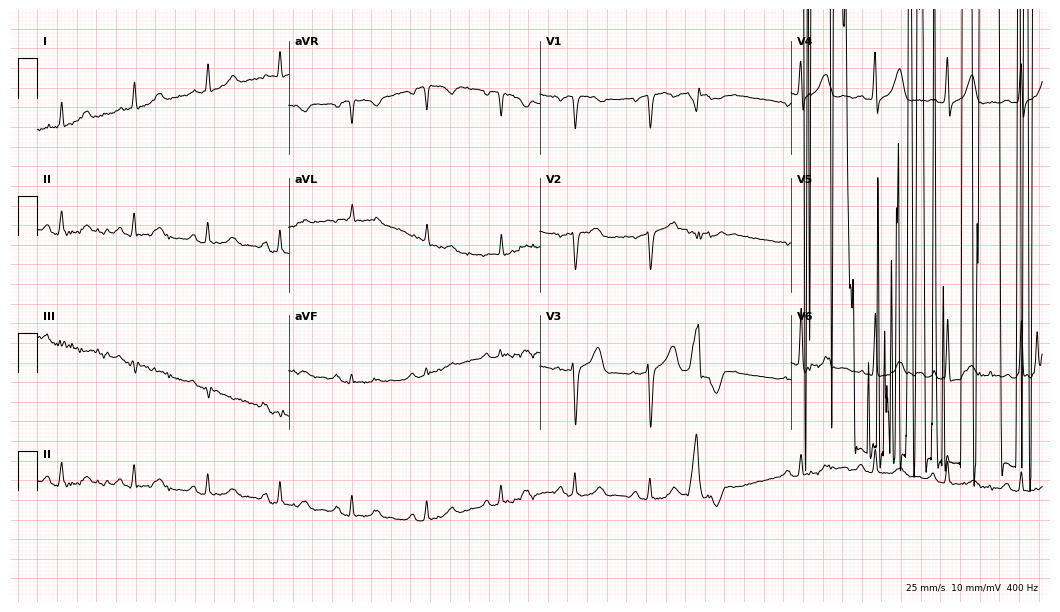
12-lead ECG from a 72-year-old female. No first-degree AV block, right bundle branch block (RBBB), left bundle branch block (LBBB), sinus bradycardia, atrial fibrillation (AF) or sinus tachycardia recorded for this tracing. Only these six findings were labelled.